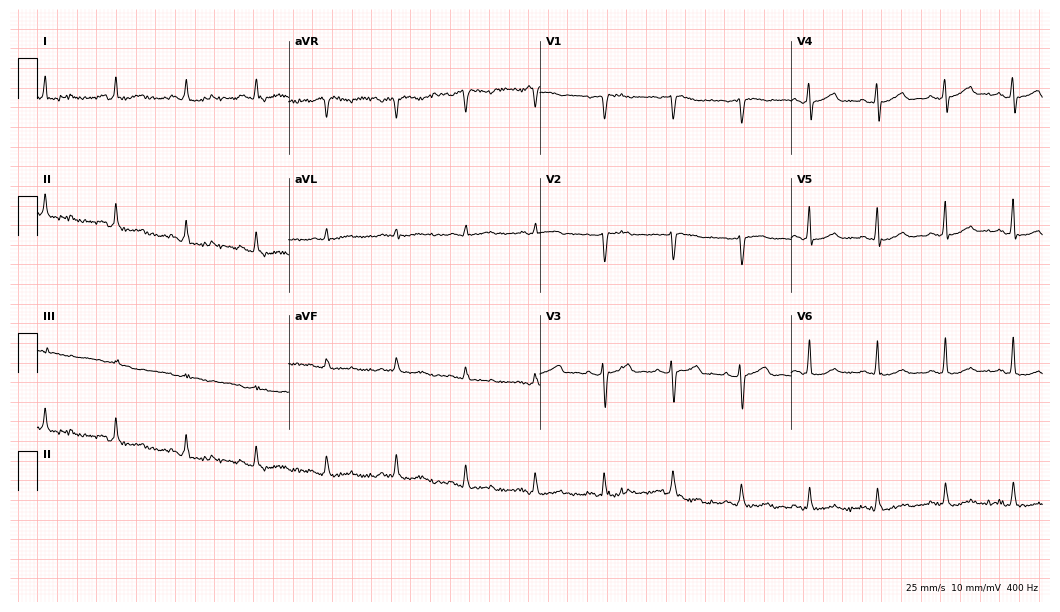
12-lead ECG (10.2-second recording at 400 Hz) from a 56-year-old female. Screened for six findings — first-degree AV block, right bundle branch block, left bundle branch block, sinus bradycardia, atrial fibrillation, sinus tachycardia — none is recorded. Only these six findings were labelled.